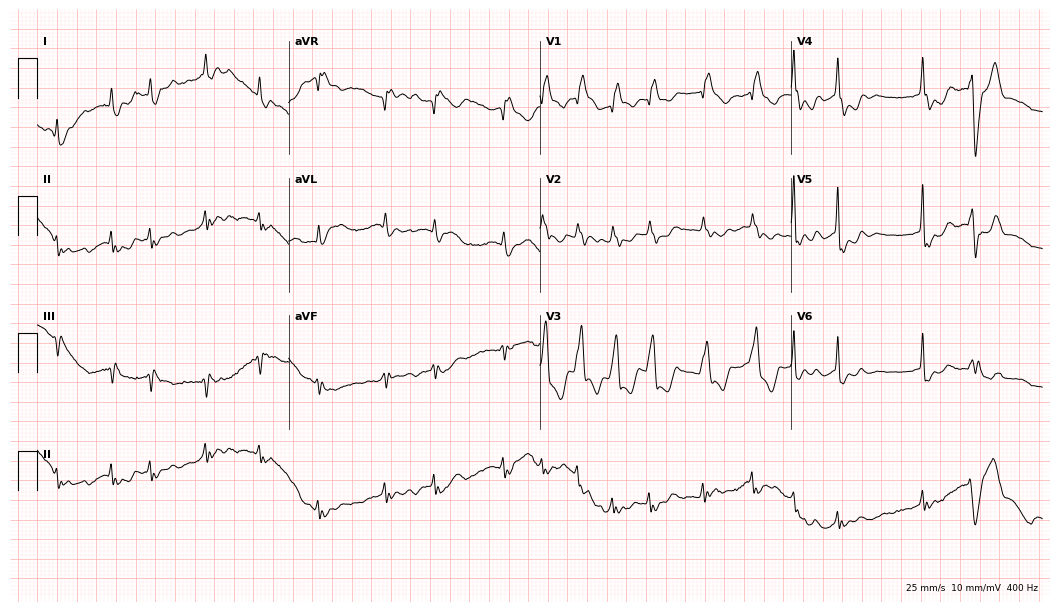
ECG (10.2-second recording at 400 Hz) — a 76-year-old female patient. Findings include right bundle branch block (RBBB), atrial fibrillation (AF).